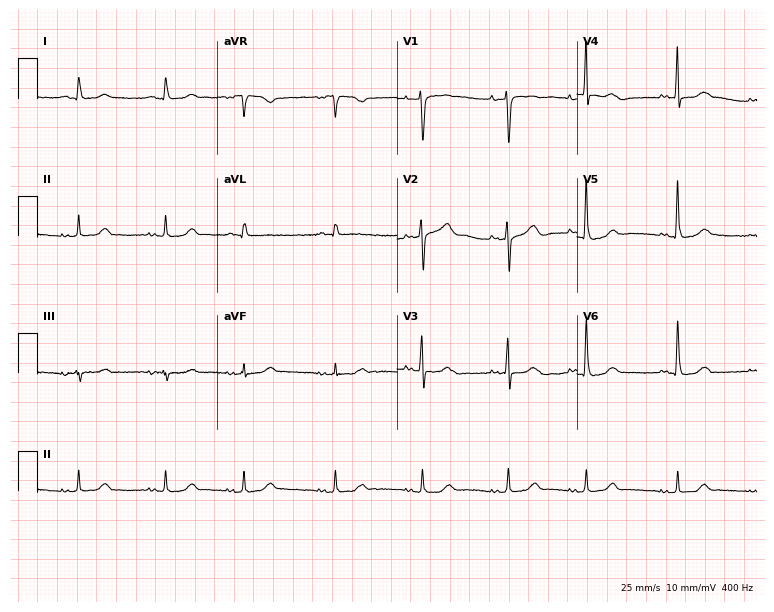
Resting 12-lead electrocardiogram. Patient: a male, 83 years old. Read as a normal ECG.